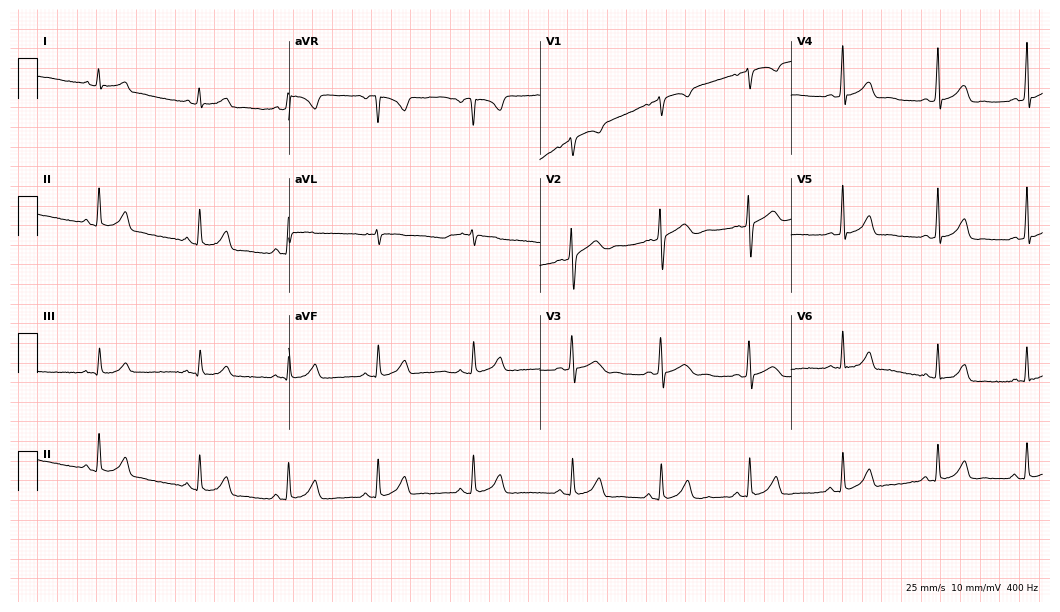
Resting 12-lead electrocardiogram. Patient: a female, 26 years old. Read as a normal ECG.